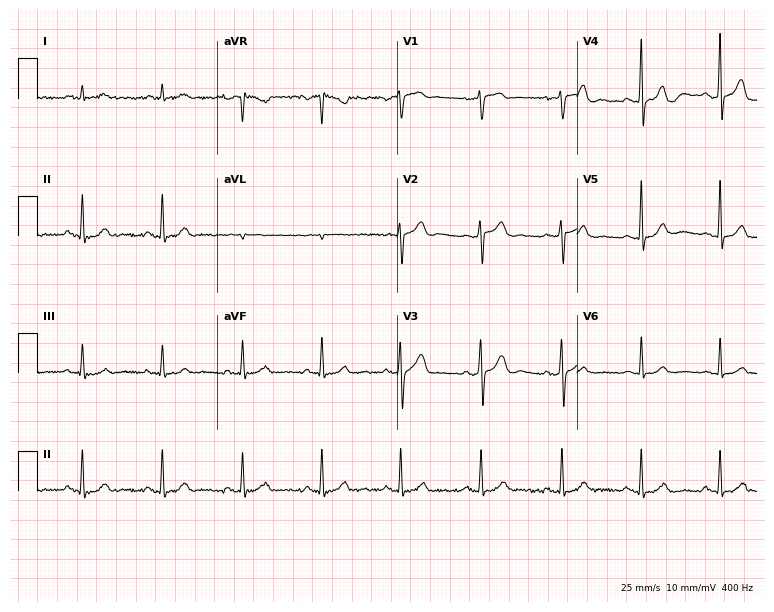
12-lead ECG from a male patient, 30 years old (7.3-second recording at 400 Hz). No first-degree AV block, right bundle branch block, left bundle branch block, sinus bradycardia, atrial fibrillation or sinus tachycardia recorded for this tracing. Findings outside these six are not listed.